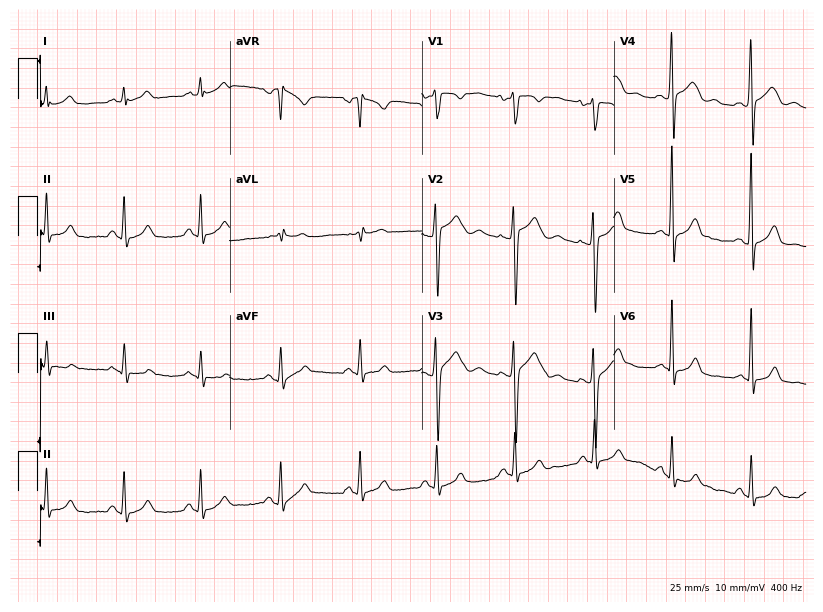
ECG — a 25-year-old male. Screened for six findings — first-degree AV block, right bundle branch block (RBBB), left bundle branch block (LBBB), sinus bradycardia, atrial fibrillation (AF), sinus tachycardia — none is recorded.